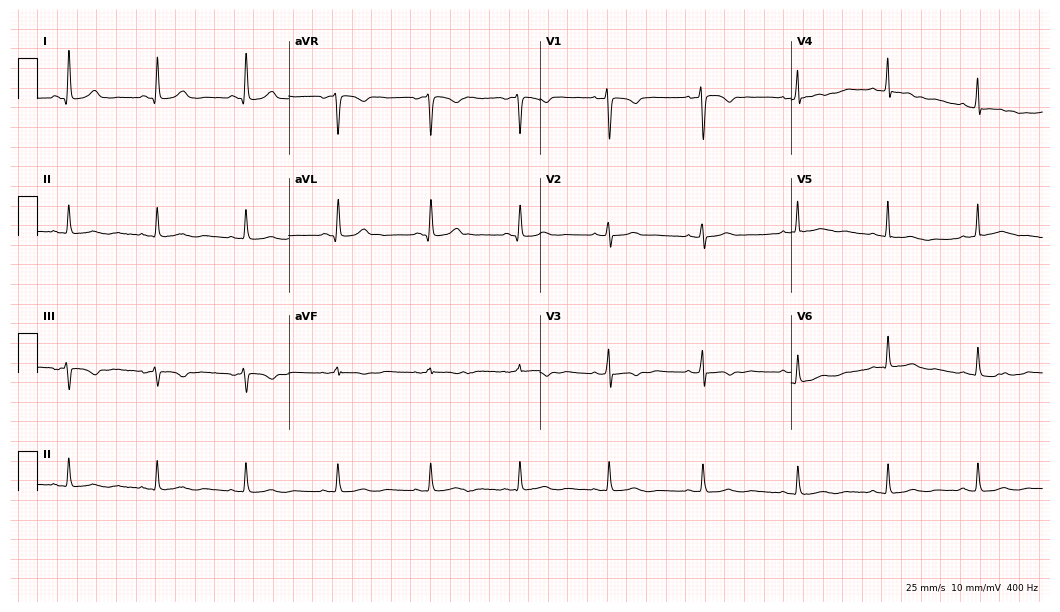
Electrocardiogram (10.2-second recording at 400 Hz), a female patient, 53 years old. Of the six screened findings (first-degree AV block, right bundle branch block, left bundle branch block, sinus bradycardia, atrial fibrillation, sinus tachycardia), none is recorded.